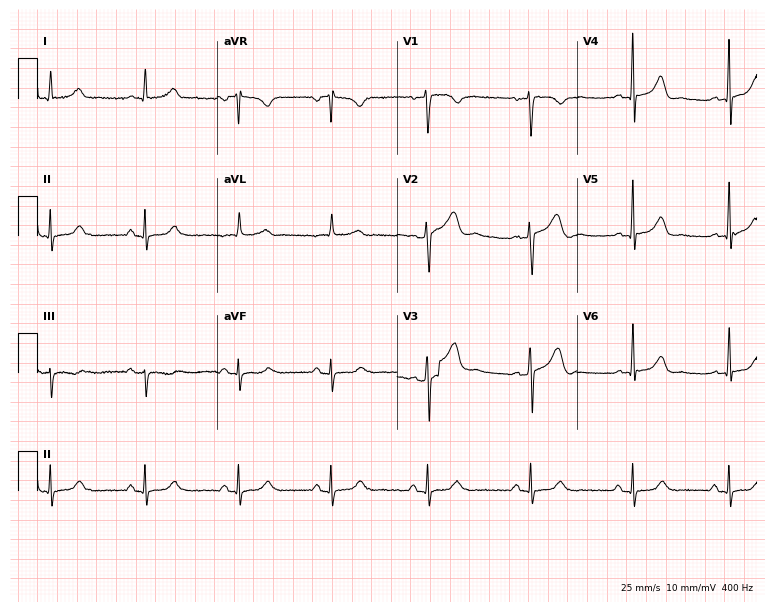
ECG (7.3-second recording at 400 Hz) — a female patient, 45 years old. Screened for six findings — first-degree AV block, right bundle branch block (RBBB), left bundle branch block (LBBB), sinus bradycardia, atrial fibrillation (AF), sinus tachycardia — none is recorded. Findings outside these six are not listed.